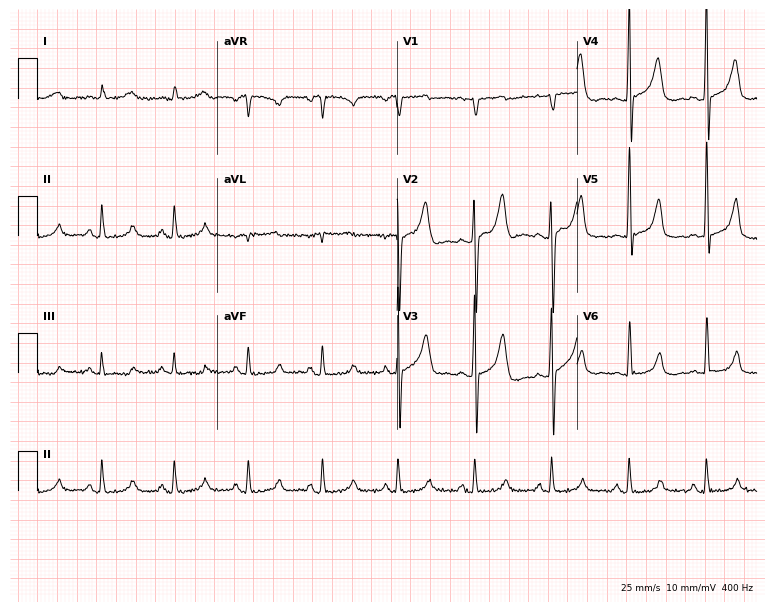
ECG (7.3-second recording at 400 Hz) — a man, 48 years old. Screened for six findings — first-degree AV block, right bundle branch block (RBBB), left bundle branch block (LBBB), sinus bradycardia, atrial fibrillation (AF), sinus tachycardia — none is recorded.